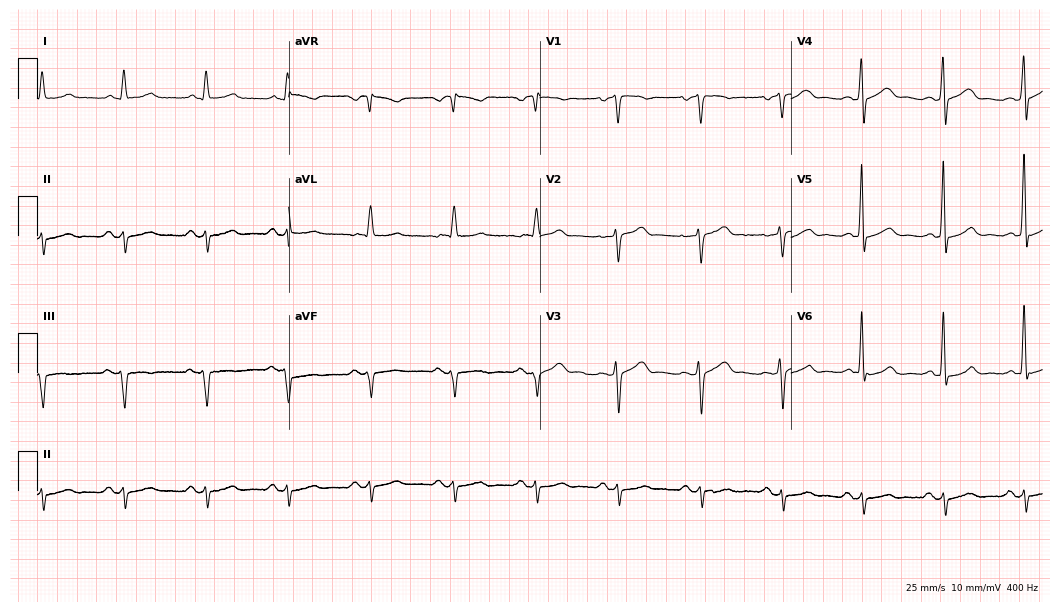
Resting 12-lead electrocardiogram (10.2-second recording at 400 Hz). Patient: a male, 84 years old. None of these six findings is recorded: first-degree AV block, right bundle branch block, left bundle branch block, sinus bradycardia, atrial fibrillation, sinus tachycardia. Findings outside these six are not listed.